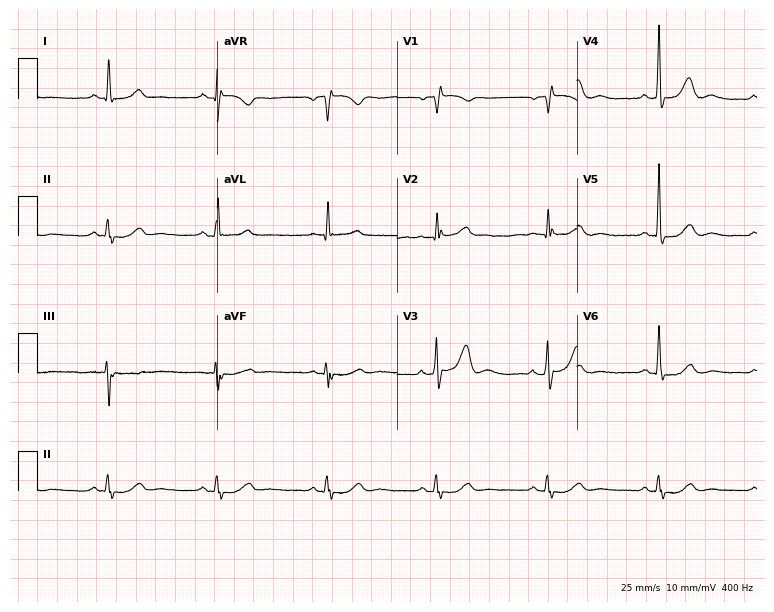
ECG — a man, 80 years old. Screened for six findings — first-degree AV block, right bundle branch block, left bundle branch block, sinus bradycardia, atrial fibrillation, sinus tachycardia — none is recorded. Only these six findings were labelled.